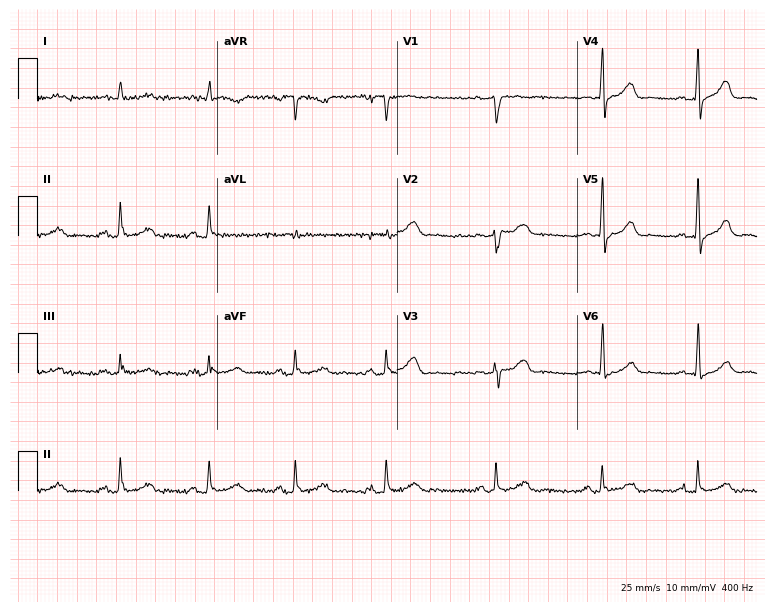
12-lead ECG from a male, 62 years old (7.3-second recording at 400 Hz). No first-degree AV block, right bundle branch block (RBBB), left bundle branch block (LBBB), sinus bradycardia, atrial fibrillation (AF) or sinus tachycardia recorded for this tracing. Findings outside these six are not listed.